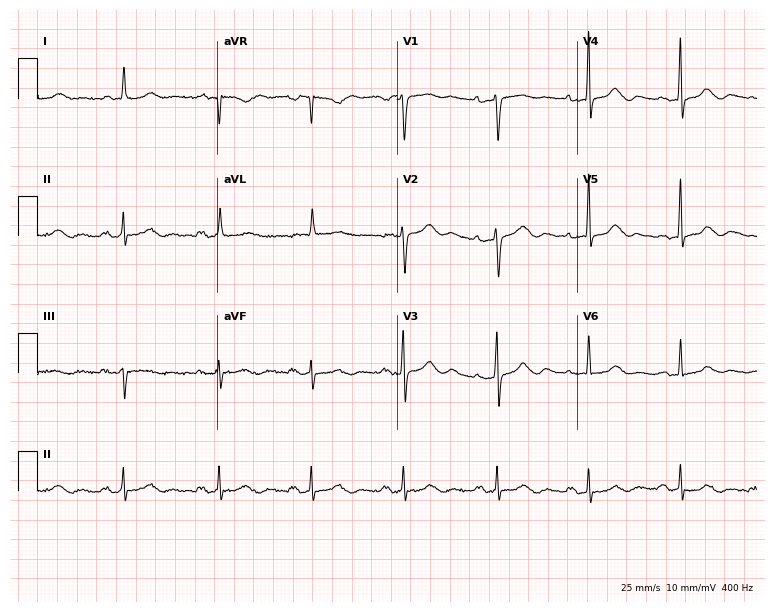
Resting 12-lead electrocardiogram (7.3-second recording at 400 Hz). Patient: a female, 84 years old. Read as a normal ECG.